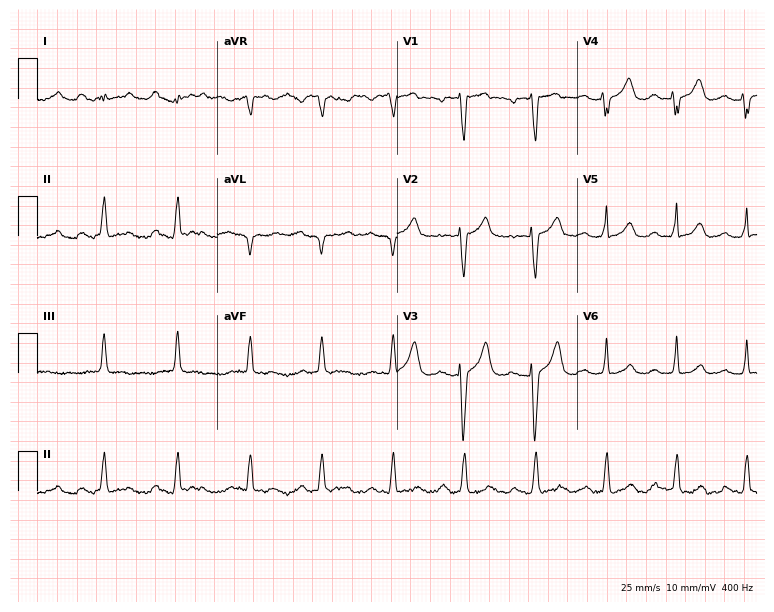
12-lead ECG (7.3-second recording at 400 Hz) from a man, 65 years old. Screened for six findings — first-degree AV block, right bundle branch block, left bundle branch block, sinus bradycardia, atrial fibrillation, sinus tachycardia — none is recorded. Findings outside these six are not listed.